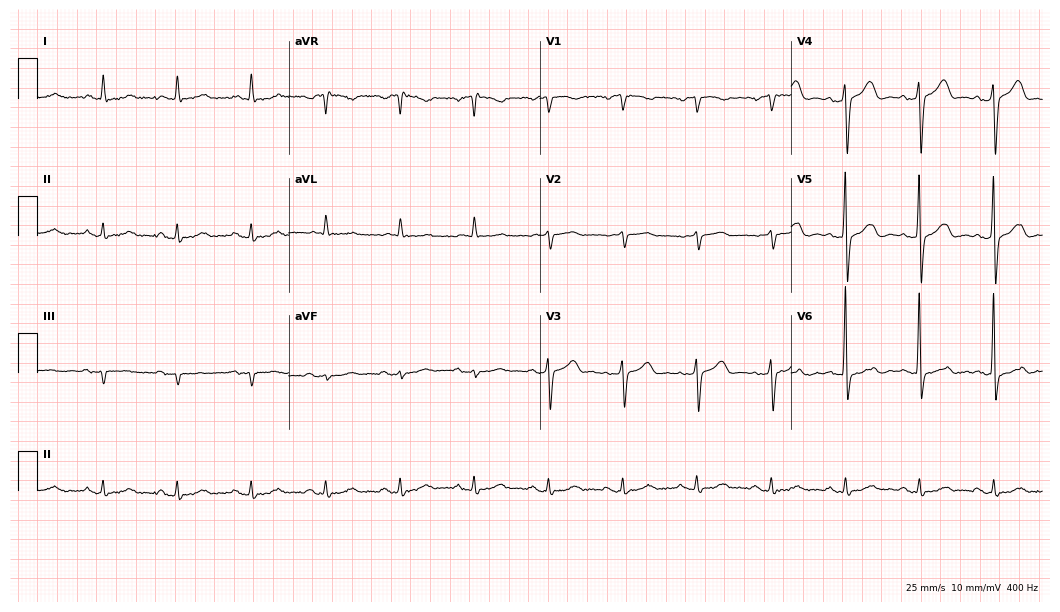
12-lead ECG from an 85-year-old man. Recorded interpretation: within normal limits.